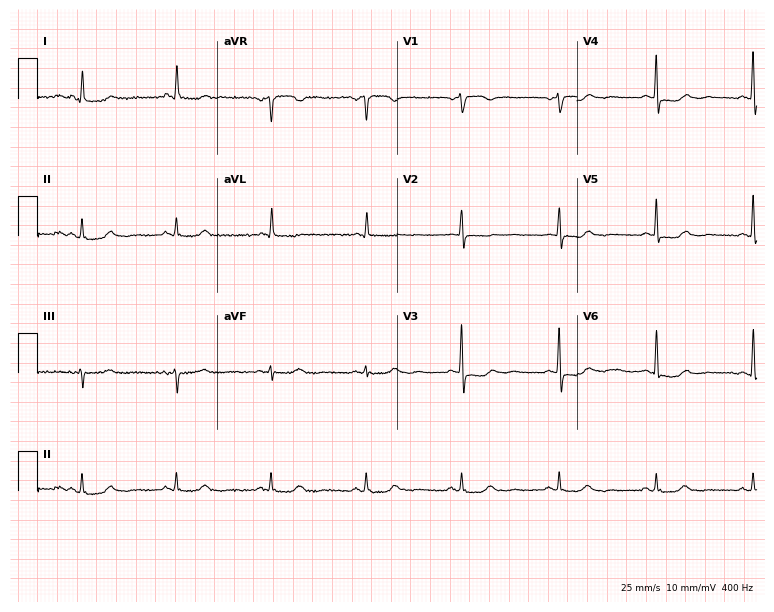
12-lead ECG (7.3-second recording at 400 Hz) from an 83-year-old female. Screened for six findings — first-degree AV block, right bundle branch block, left bundle branch block, sinus bradycardia, atrial fibrillation, sinus tachycardia — none is recorded.